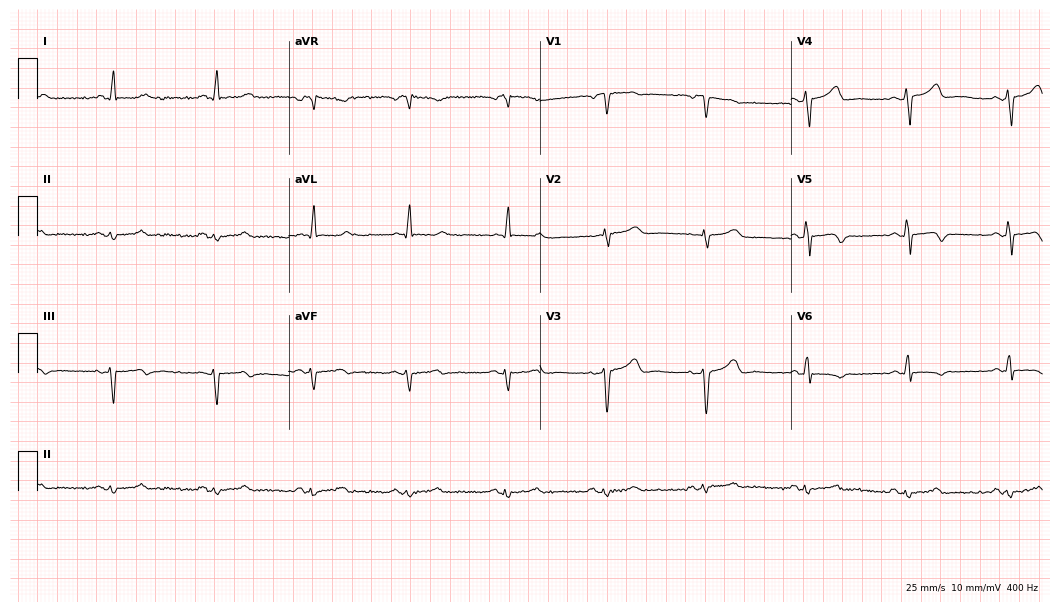
12-lead ECG (10.2-second recording at 400 Hz) from a 65-year-old male patient. Screened for six findings — first-degree AV block, right bundle branch block, left bundle branch block, sinus bradycardia, atrial fibrillation, sinus tachycardia — none is recorded. Other findings, if any, are not listed.